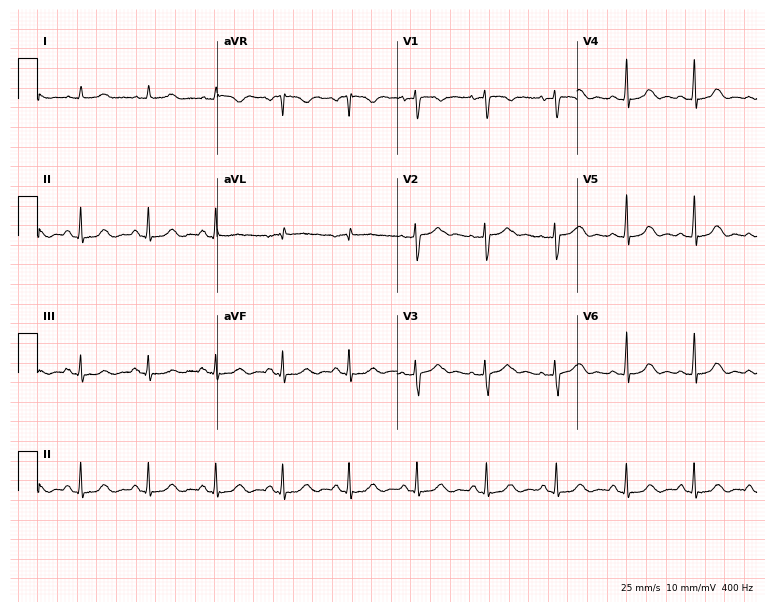
ECG (7.3-second recording at 400 Hz) — a 62-year-old female. Labelled as a normal ECG.